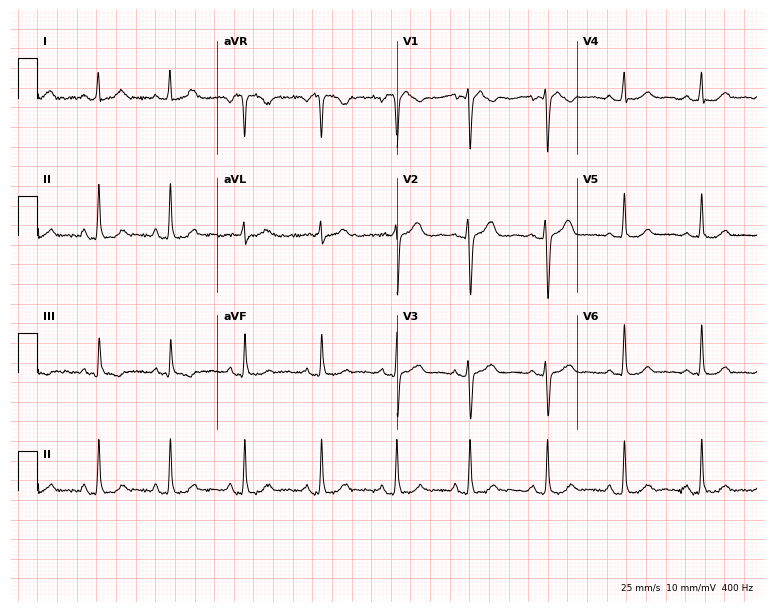
Standard 12-lead ECG recorded from a 29-year-old woman (7.3-second recording at 400 Hz). Read as a normal ECG.